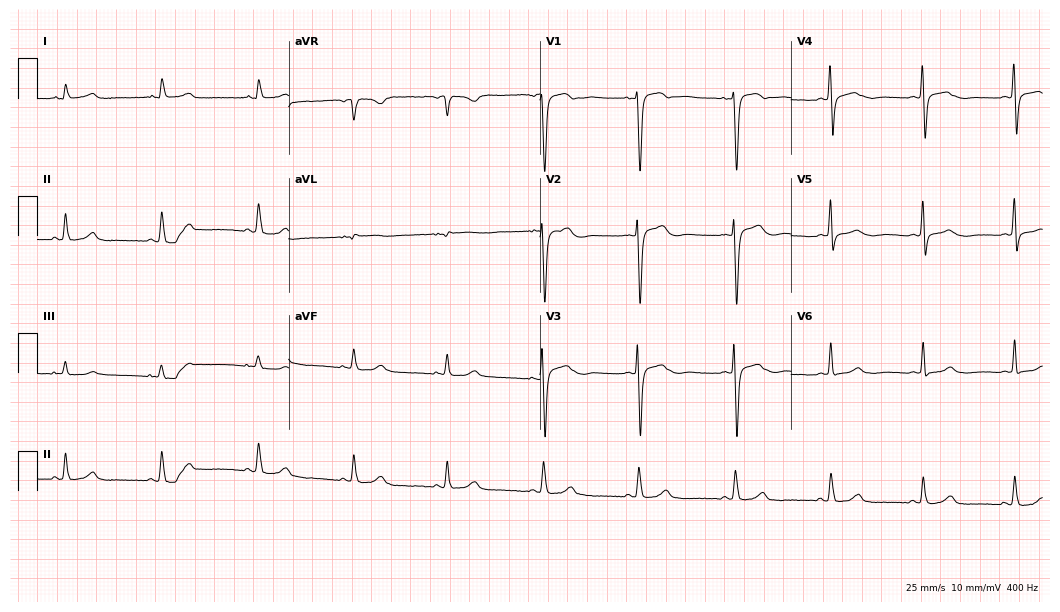
12-lead ECG (10.2-second recording at 400 Hz) from a 41-year-old male patient. Screened for six findings — first-degree AV block, right bundle branch block (RBBB), left bundle branch block (LBBB), sinus bradycardia, atrial fibrillation (AF), sinus tachycardia — none is recorded.